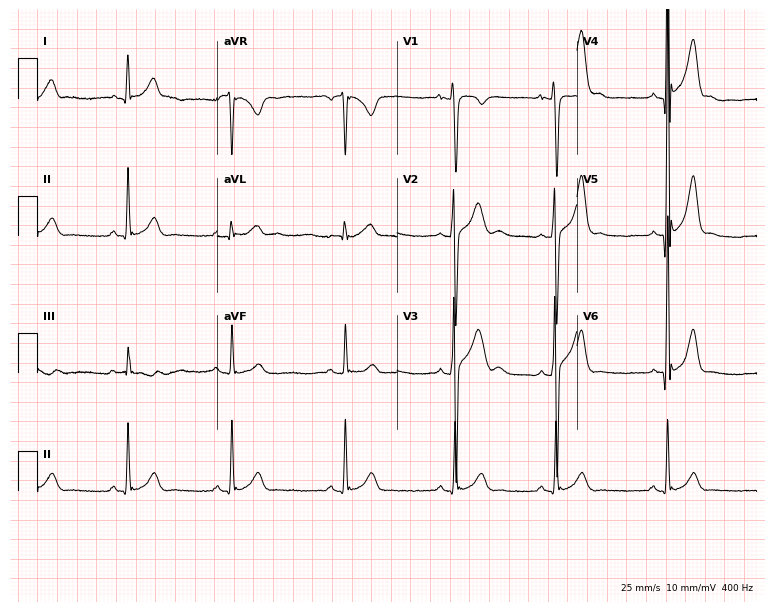
ECG — a 22-year-old male patient. Labelled as a normal ECG.